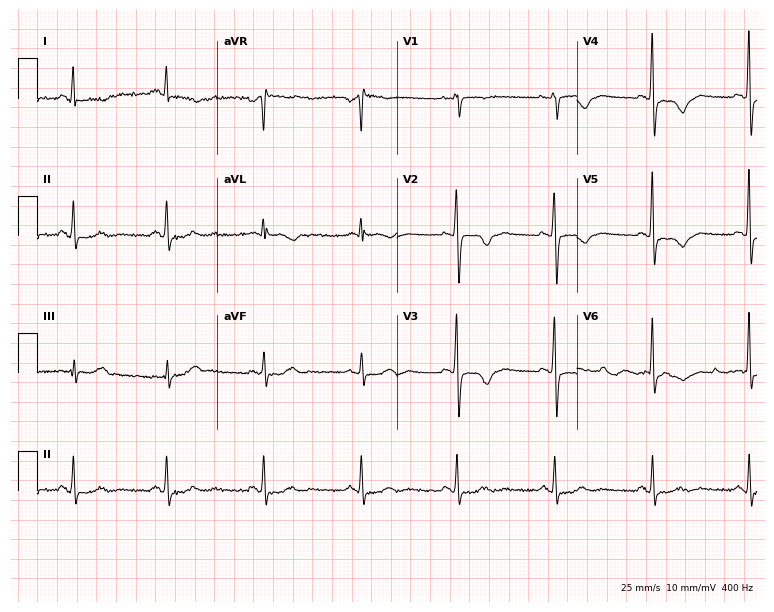
12-lead ECG from a woman, 64 years old. No first-degree AV block, right bundle branch block (RBBB), left bundle branch block (LBBB), sinus bradycardia, atrial fibrillation (AF) or sinus tachycardia recorded for this tracing. Other findings, if any, are not listed.